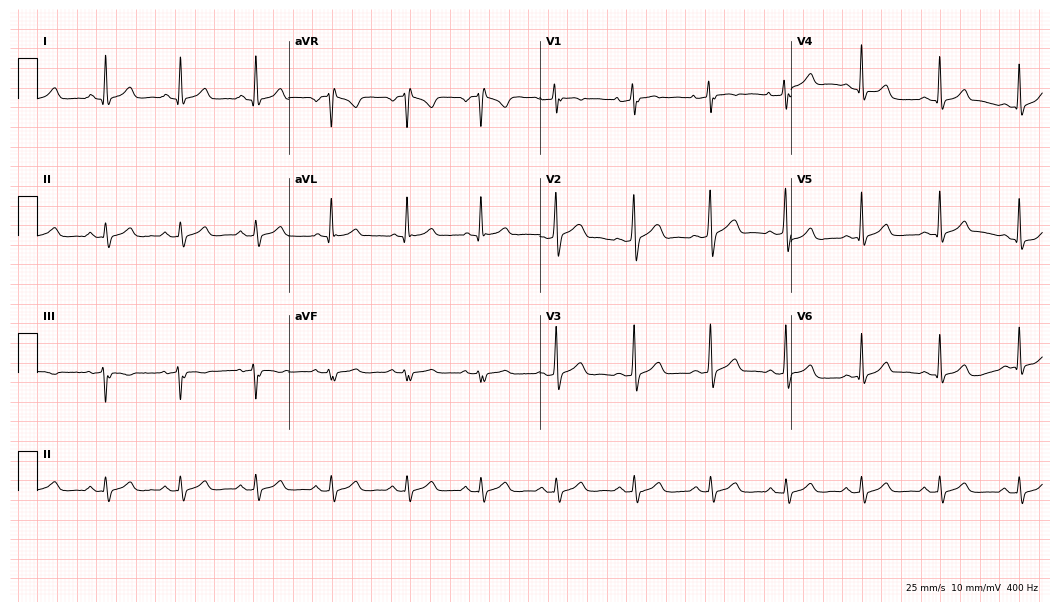
Standard 12-lead ECG recorded from a male patient, 34 years old. None of these six findings is recorded: first-degree AV block, right bundle branch block, left bundle branch block, sinus bradycardia, atrial fibrillation, sinus tachycardia.